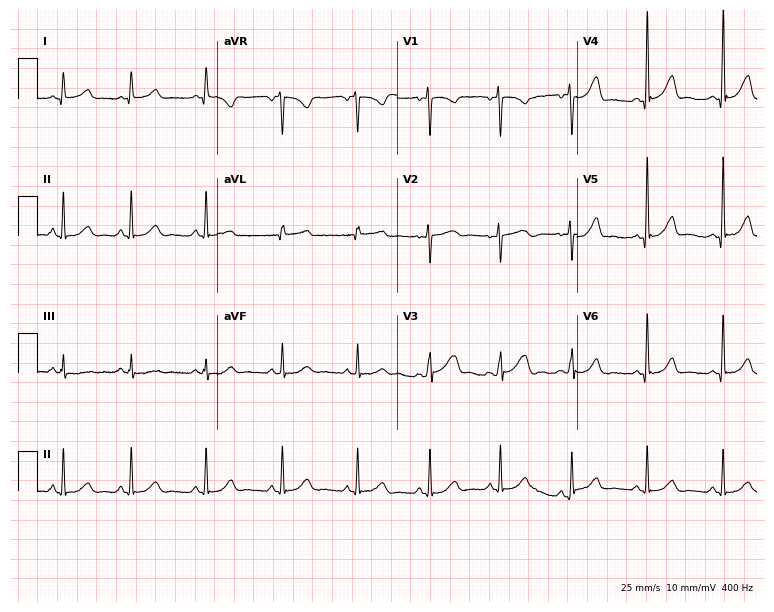
Standard 12-lead ECG recorded from a woman, 33 years old (7.3-second recording at 400 Hz). Read as a normal ECG.